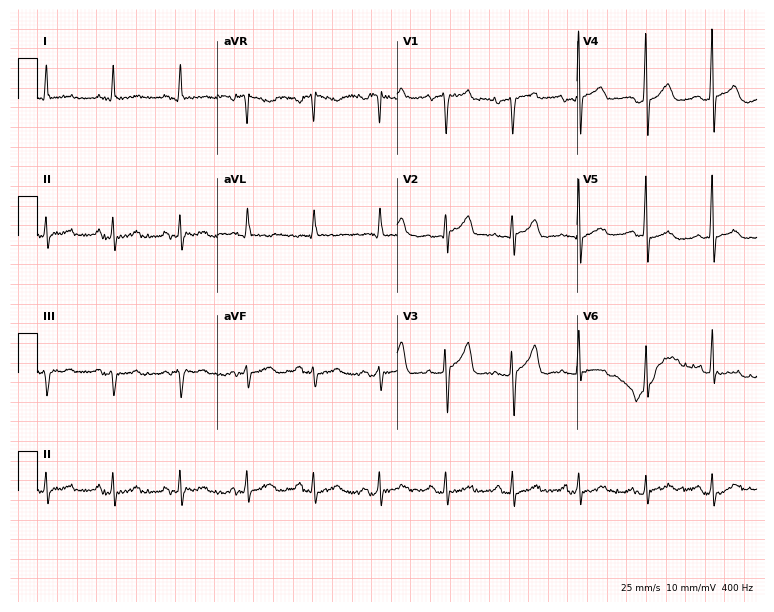
12-lead ECG (7.3-second recording at 400 Hz) from a male, 59 years old. Screened for six findings — first-degree AV block, right bundle branch block, left bundle branch block, sinus bradycardia, atrial fibrillation, sinus tachycardia — none is recorded. Other findings, if any, are not listed.